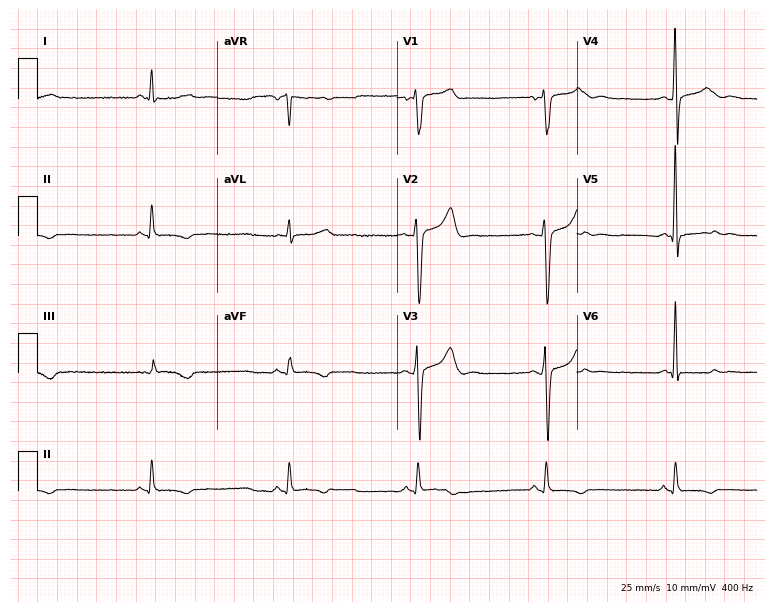
Resting 12-lead electrocardiogram (7.3-second recording at 400 Hz). Patient: a 54-year-old male. None of these six findings is recorded: first-degree AV block, right bundle branch block, left bundle branch block, sinus bradycardia, atrial fibrillation, sinus tachycardia.